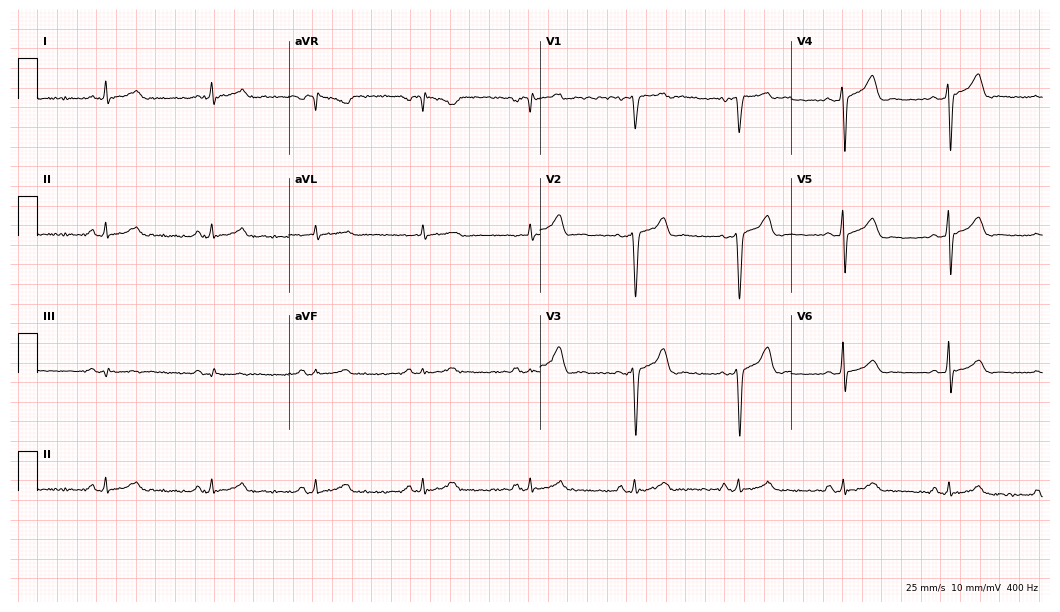
Resting 12-lead electrocardiogram (10.2-second recording at 400 Hz). Patient: a male, 41 years old. None of these six findings is recorded: first-degree AV block, right bundle branch block, left bundle branch block, sinus bradycardia, atrial fibrillation, sinus tachycardia.